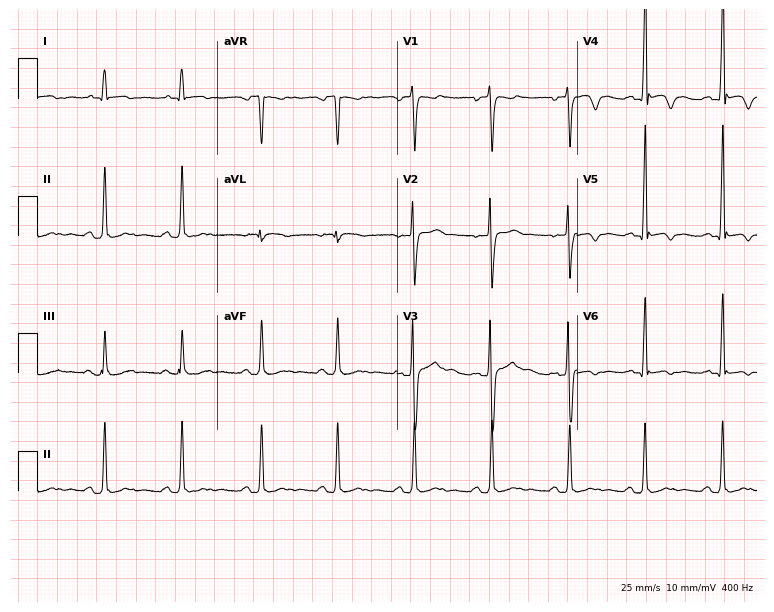
Standard 12-lead ECG recorded from a 33-year-old male patient (7.3-second recording at 400 Hz). None of these six findings is recorded: first-degree AV block, right bundle branch block, left bundle branch block, sinus bradycardia, atrial fibrillation, sinus tachycardia.